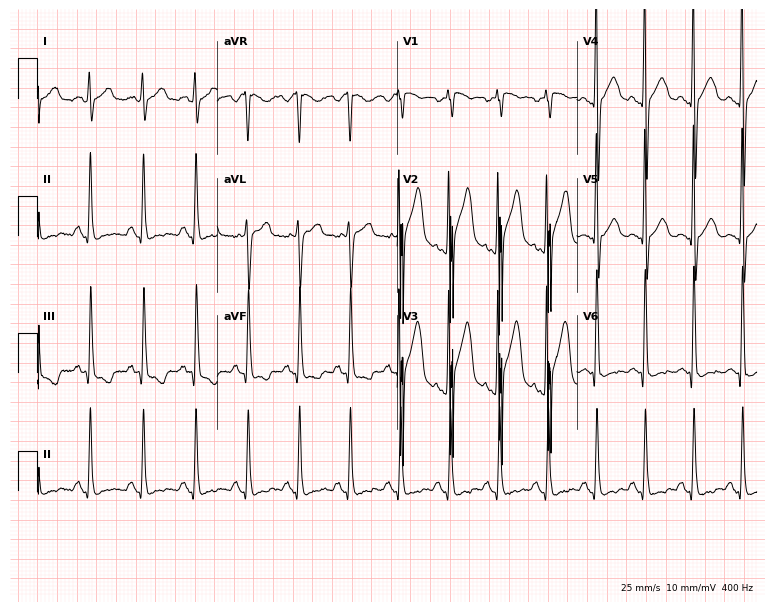
12-lead ECG from a man, 31 years old. Shows sinus tachycardia (a sinus rate of 100 beats per minute or more).